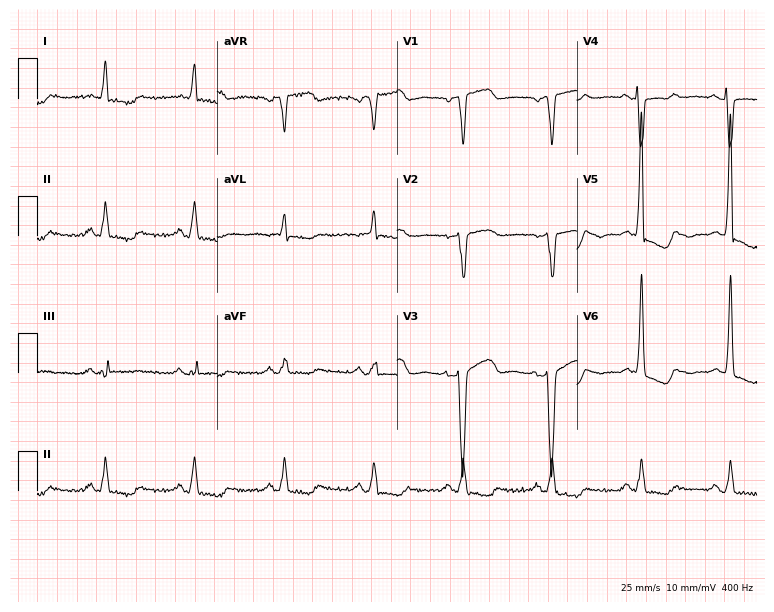
12-lead ECG from a 75-year-old woman (7.3-second recording at 400 Hz). No first-degree AV block, right bundle branch block, left bundle branch block, sinus bradycardia, atrial fibrillation or sinus tachycardia recorded for this tracing.